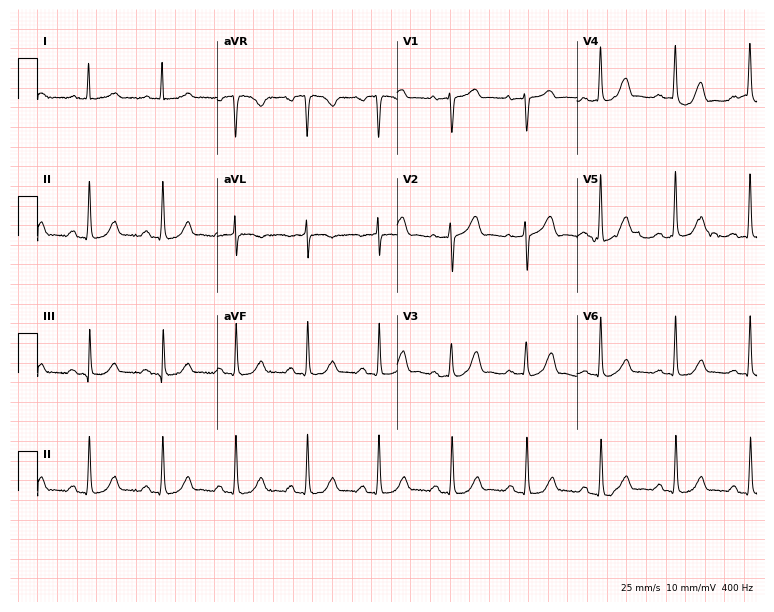
Resting 12-lead electrocardiogram (7.3-second recording at 400 Hz). Patient: an 80-year-old male. Read as a normal ECG.